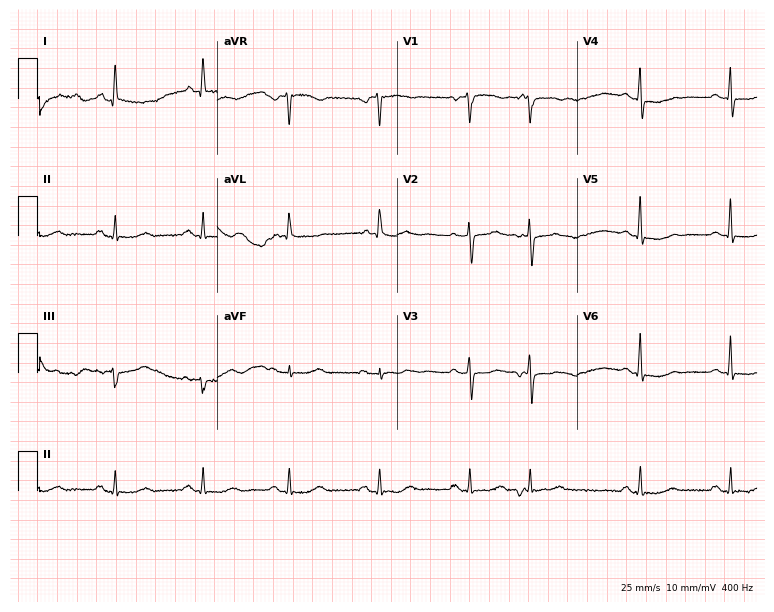
12-lead ECG (7.3-second recording at 400 Hz) from an 85-year-old female patient. Labelled as a normal ECG.